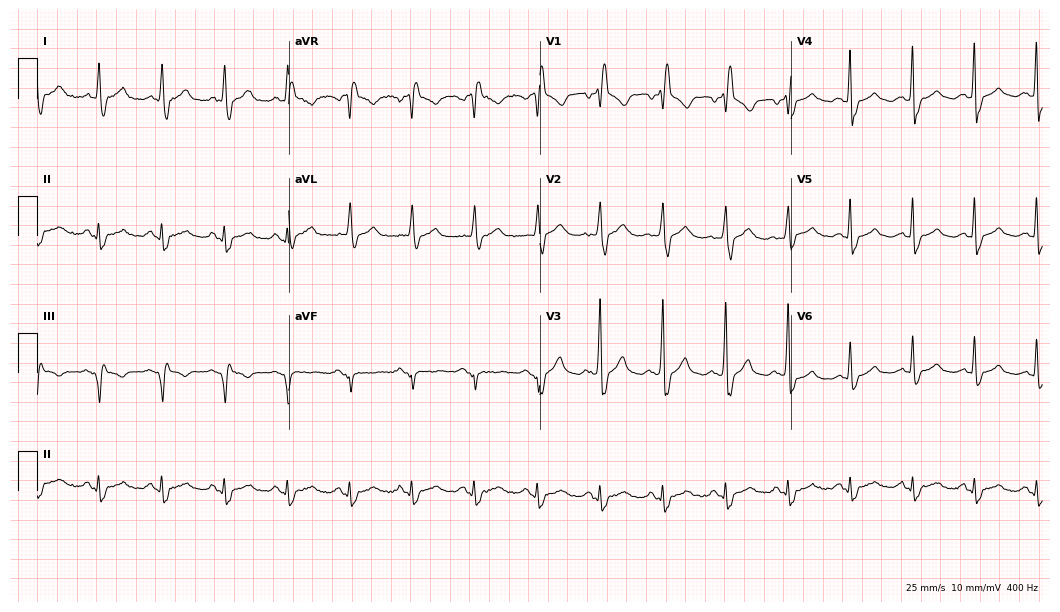
12-lead ECG (10.2-second recording at 400 Hz) from a male, 64 years old. Findings include right bundle branch block.